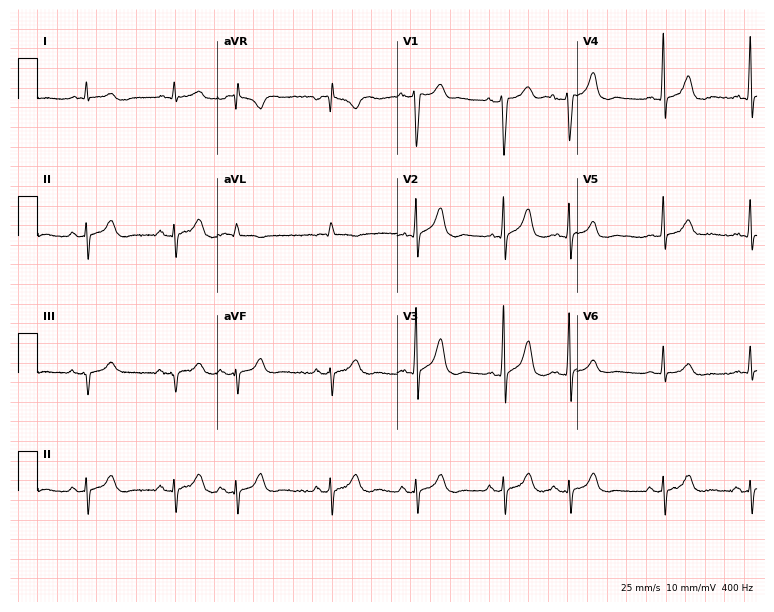
12-lead ECG (7.3-second recording at 400 Hz) from a 76-year-old male patient. Screened for six findings — first-degree AV block, right bundle branch block, left bundle branch block, sinus bradycardia, atrial fibrillation, sinus tachycardia — none is recorded.